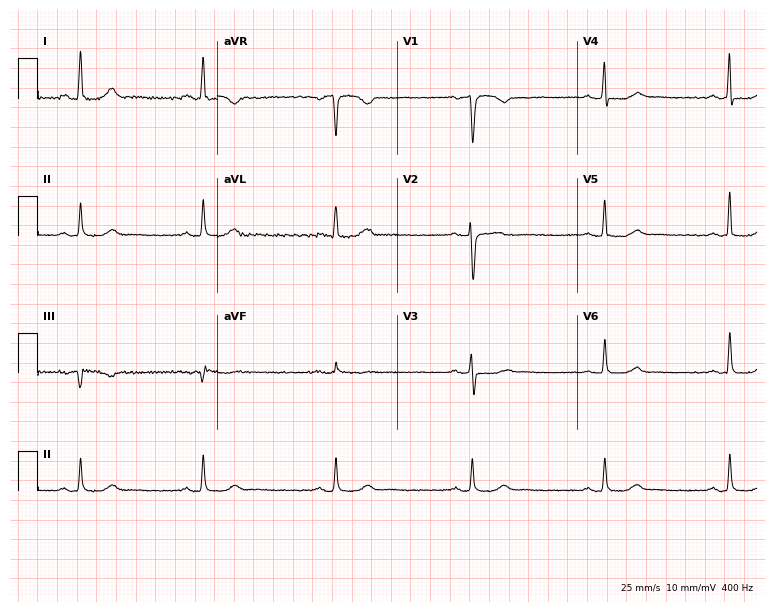
12-lead ECG (7.3-second recording at 400 Hz) from a woman, 54 years old. Findings include sinus bradycardia (a sinus rate of 50 beats per minute or less).